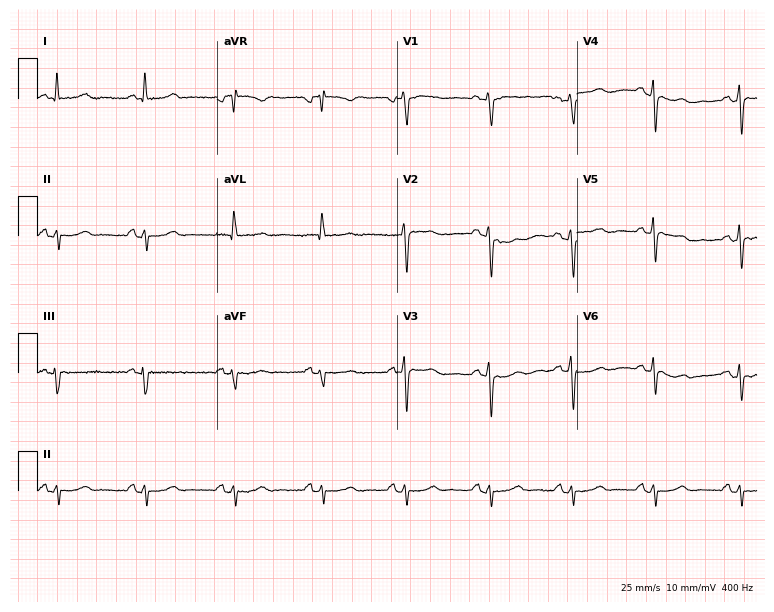
Electrocardiogram, a female patient, 79 years old. Of the six screened findings (first-degree AV block, right bundle branch block, left bundle branch block, sinus bradycardia, atrial fibrillation, sinus tachycardia), none is recorded. Other findings, if any, are not listed.